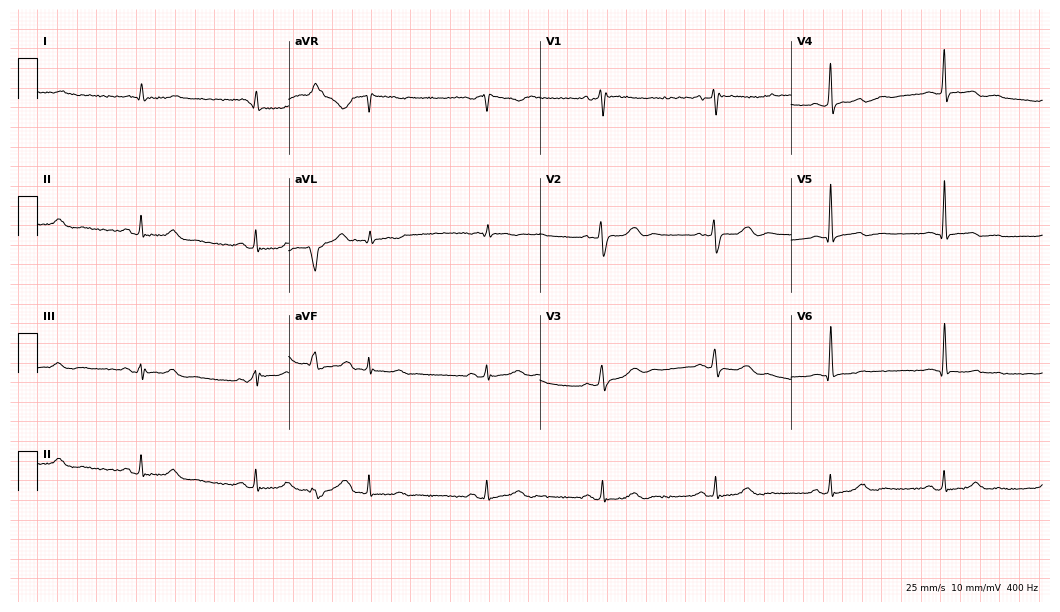
ECG — a 68-year-old man. Screened for six findings — first-degree AV block, right bundle branch block (RBBB), left bundle branch block (LBBB), sinus bradycardia, atrial fibrillation (AF), sinus tachycardia — none is recorded.